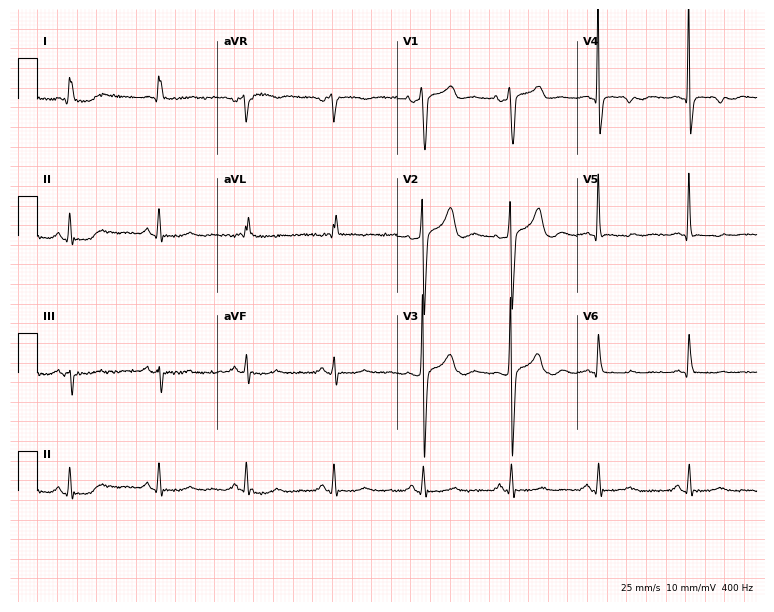
12-lead ECG from a male, 58 years old (7.3-second recording at 400 Hz). No first-degree AV block, right bundle branch block, left bundle branch block, sinus bradycardia, atrial fibrillation or sinus tachycardia recorded for this tracing.